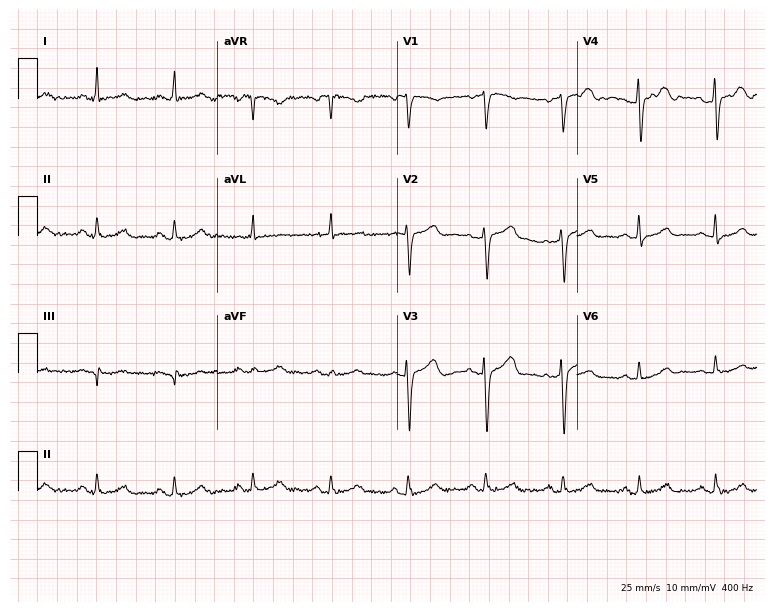
ECG — a female, 58 years old. Labelled as a normal ECG.